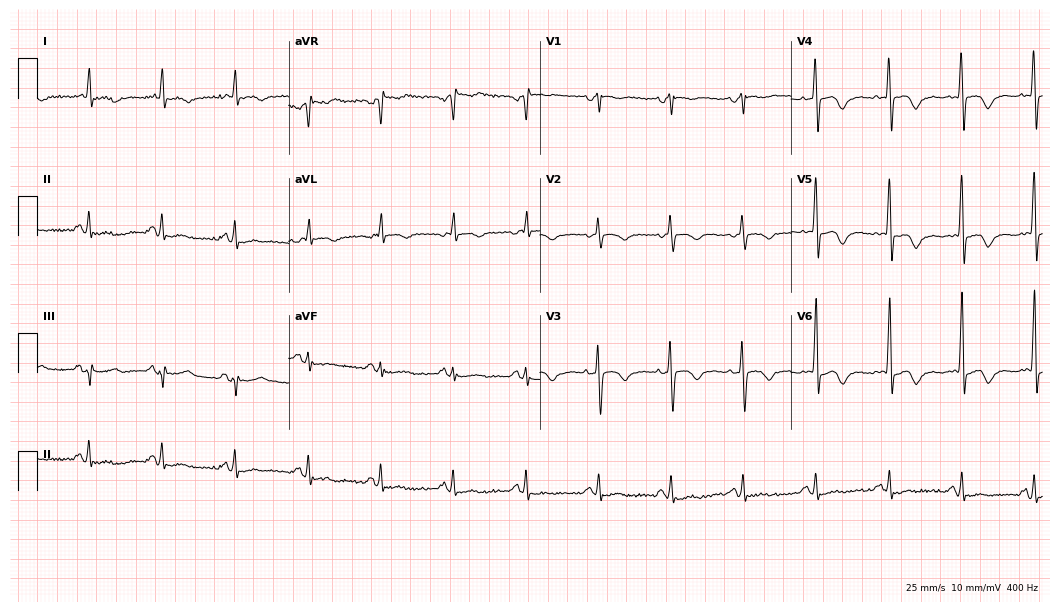
ECG (10.2-second recording at 400 Hz) — a 68-year-old woman. Screened for six findings — first-degree AV block, right bundle branch block, left bundle branch block, sinus bradycardia, atrial fibrillation, sinus tachycardia — none is recorded.